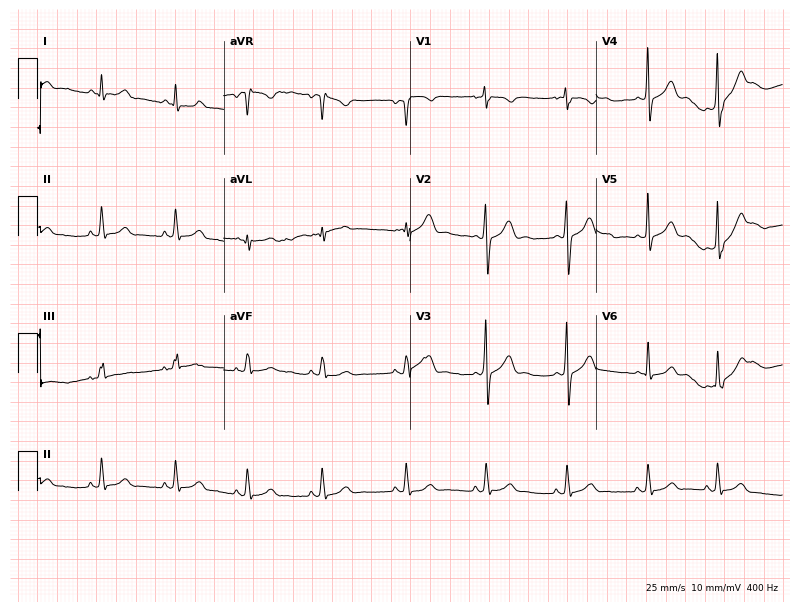
Electrocardiogram (7.6-second recording at 400 Hz), a 17-year-old woman. Of the six screened findings (first-degree AV block, right bundle branch block, left bundle branch block, sinus bradycardia, atrial fibrillation, sinus tachycardia), none is recorded.